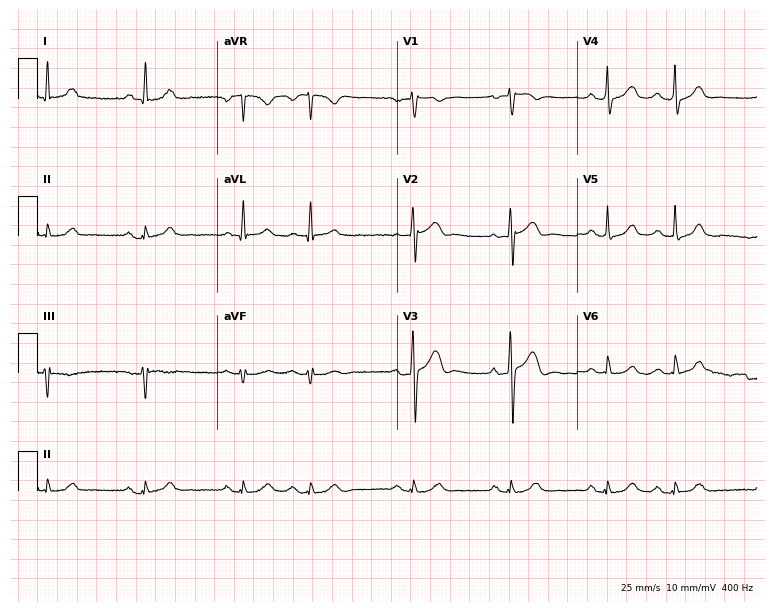
12-lead ECG (7.3-second recording at 400 Hz) from a male patient, 63 years old. Labelled as a normal ECG.